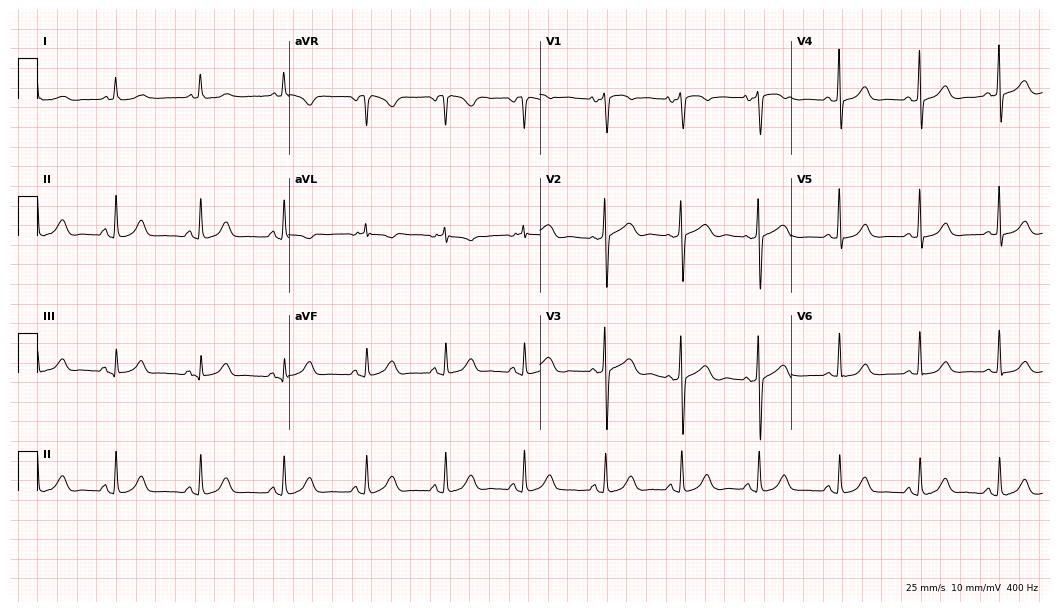
Resting 12-lead electrocardiogram. Patient: an 84-year-old female. Read as a normal ECG.